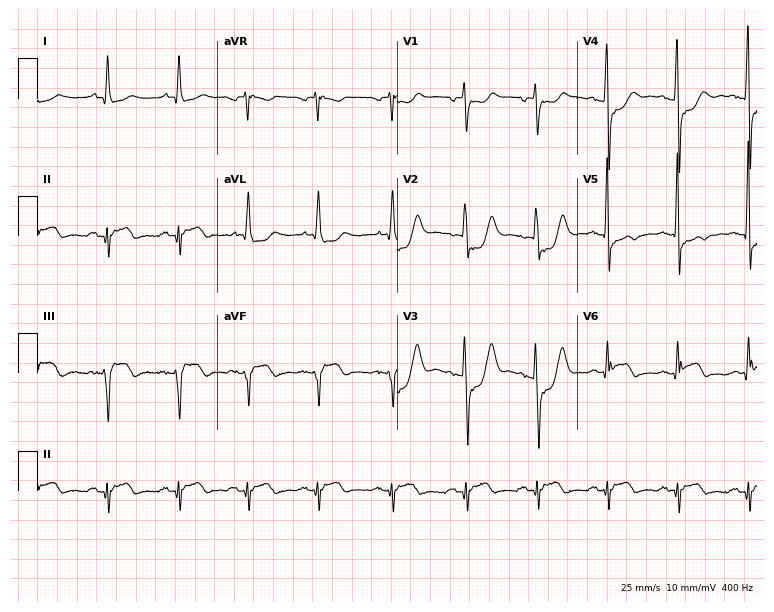
Electrocardiogram (7.3-second recording at 400 Hz), a 61-year-old man. Of the six screened findings (first-degree AV block, right bundle branch block, left bundle branch block, sinus bradycardia, atrial fibrillation, sinus tachycardia), none is recorded.